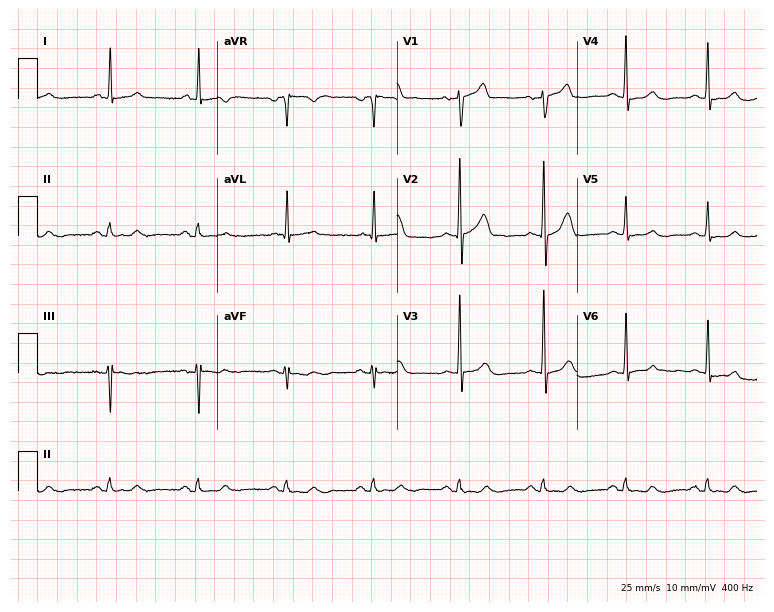
Standard 12-lead ECG recorded from a man, 68 years old. None of these six findings is recorded: first-degree AV block, right bundle branch block (RBBB), left bundle branch block (LBBB), sinus bradycardia, atrial fibrillation (AF), sinus tachycardia.